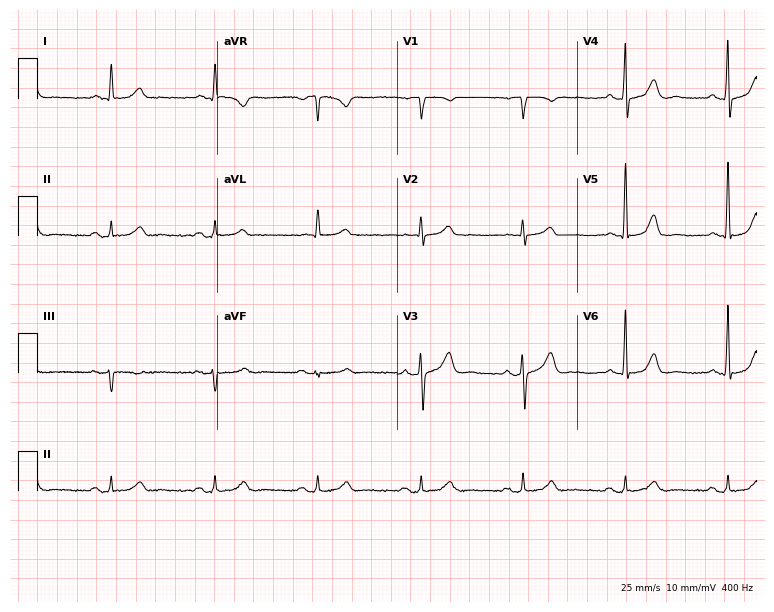
ECG (7.3-second recording at 400 Hz) — a man, 73 years old. Labelled as a normal ECG.